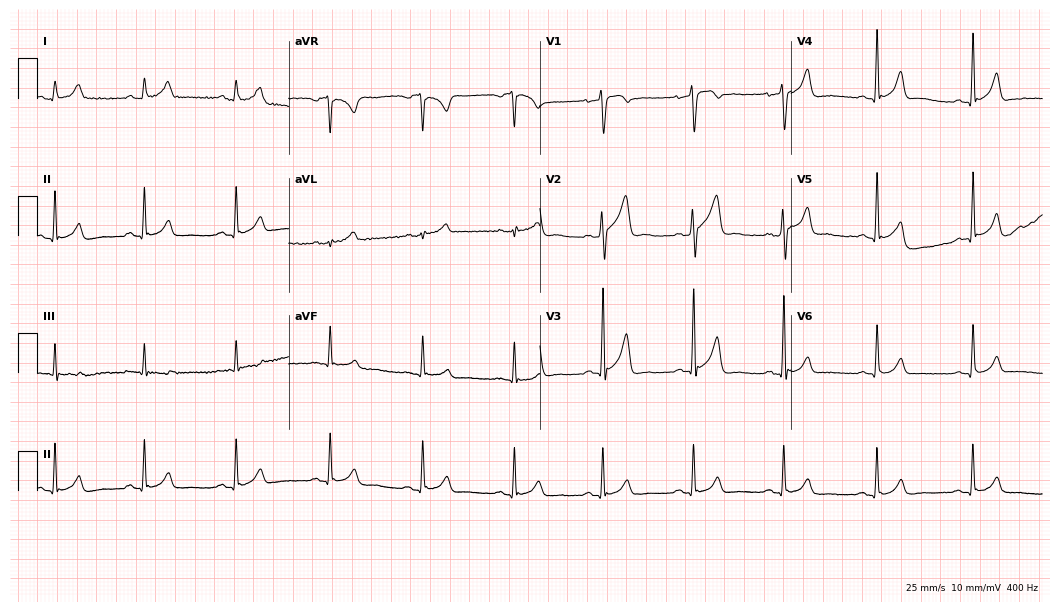
ECG (10.2-second recording at 400 Hz) — a 37-year-old man. Labelled as a normal ECG.